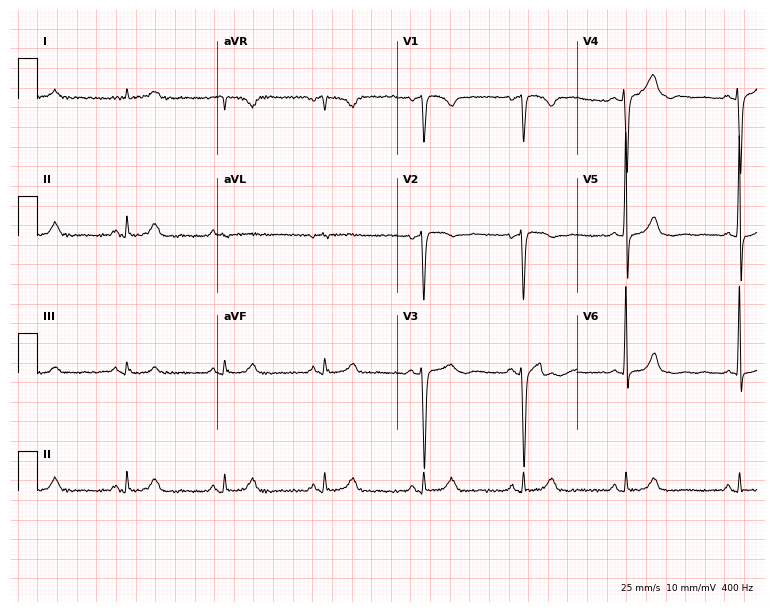
ECG — a woman, 69 years old. Screened for six findings — first-degree AV block, right bundle branch block, left bundle branch block, sinus bradycardia, atrial fibrillation, sinus tachycardia — none is recorded. Findings outside these six are not listed.